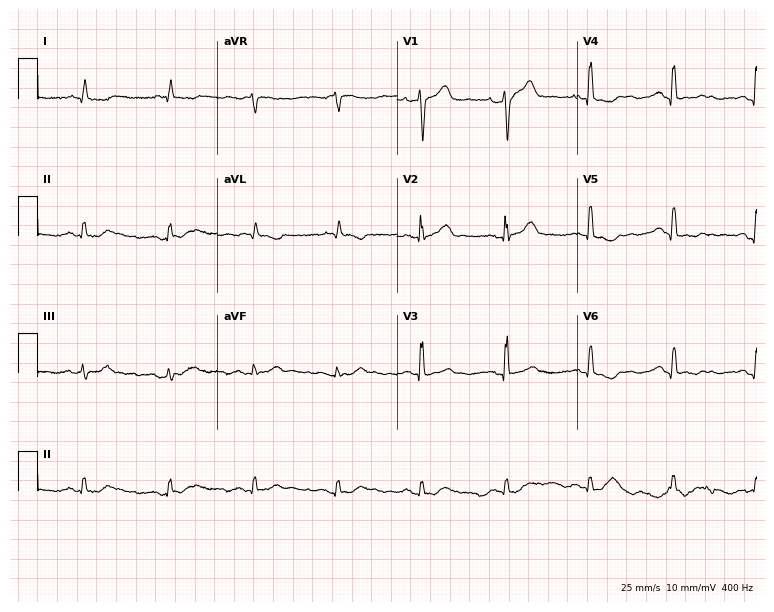
Resting 12-lead electrocardiogram (7.3-second recording at 400 Hz). Patient: a man, 78 years old. Read as a normal ECG.